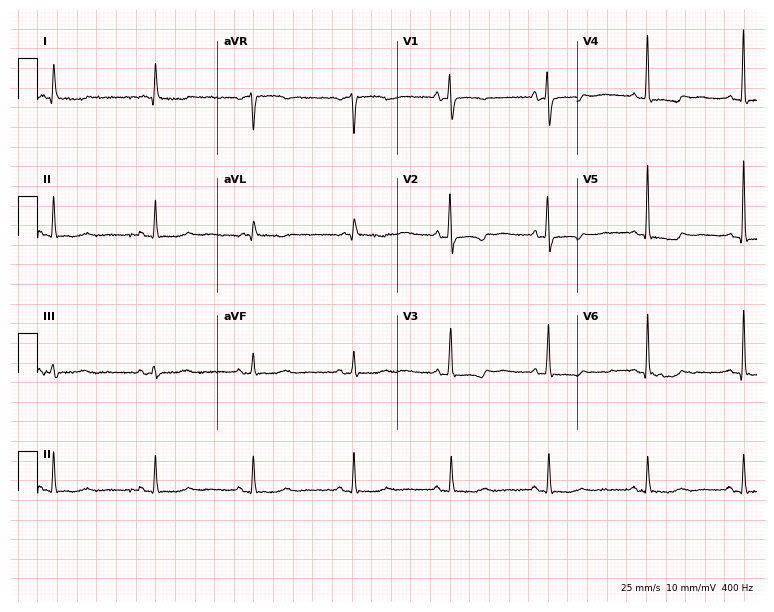
Standard 12-lead ECG recorded from a 67-year-old female (7.3-second recording at 400 Hz). None of these six findings is recorded: first-degree AV block, right bundle branch block (RBBB), left bundle branch block (LBBB), sinus bradycardia, atrial fibrillation (AF), sinus tachycardia. Other findings, if any, are not listed.